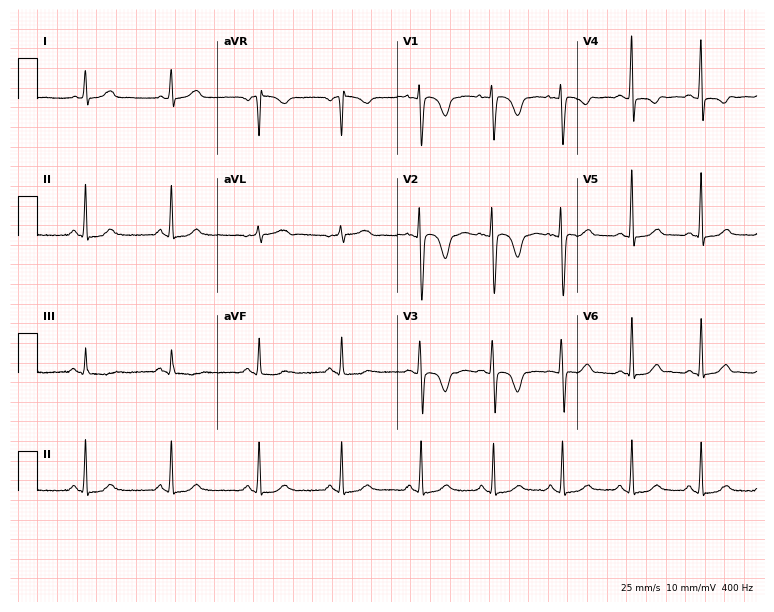
ECG (7.3-second recording at 400 Hz) — a 41-year-old female. Screened for six findings — first-degree AV block, right bundle branch block (RBBB), left bundle branch block (LBBB), sinus bradycardia, atrial fibrillation (AF), sinus tachycardia — none is recorded.